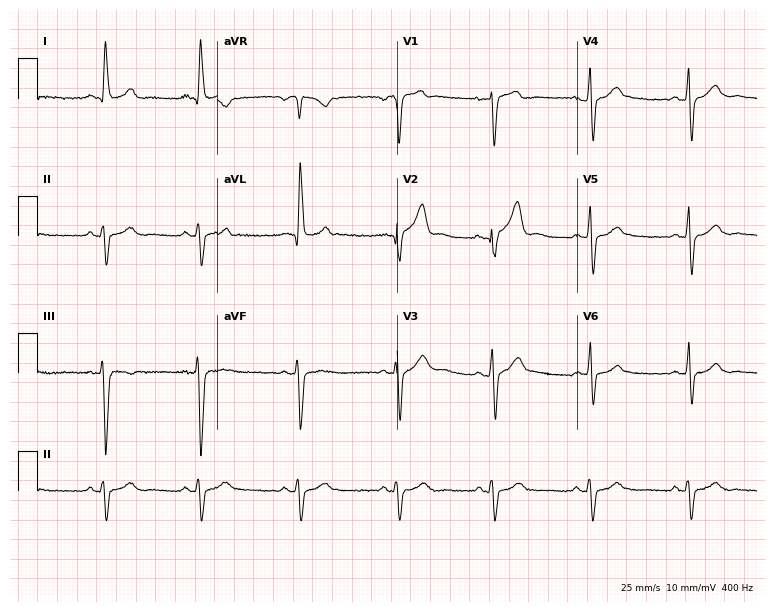
Standard 12-lead ECG recorded from a male patient, 53 years old (7.3-second recording at 400 Hz). None of these six findings is recorded: first-degree AV block, right bundle branch block, left bundle branch block, sinus bradycardia, atrial fibrillation, sinus tachycardia. Only these six findings were labelled.